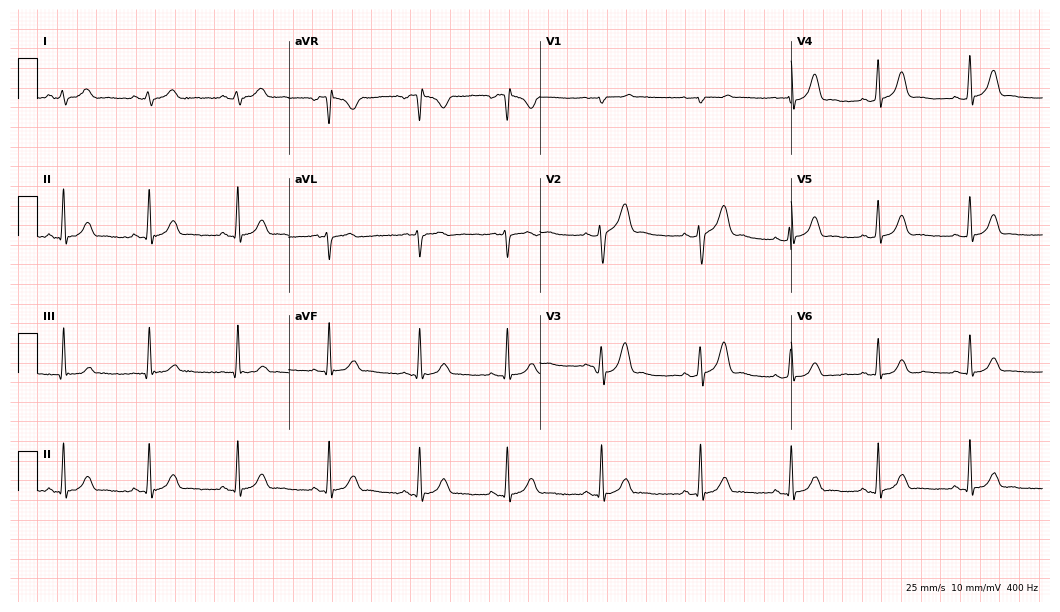
ECG (10.2-second recording at 400 Hz) — a female patient, 22 years old. Labelled as a normal ECG.